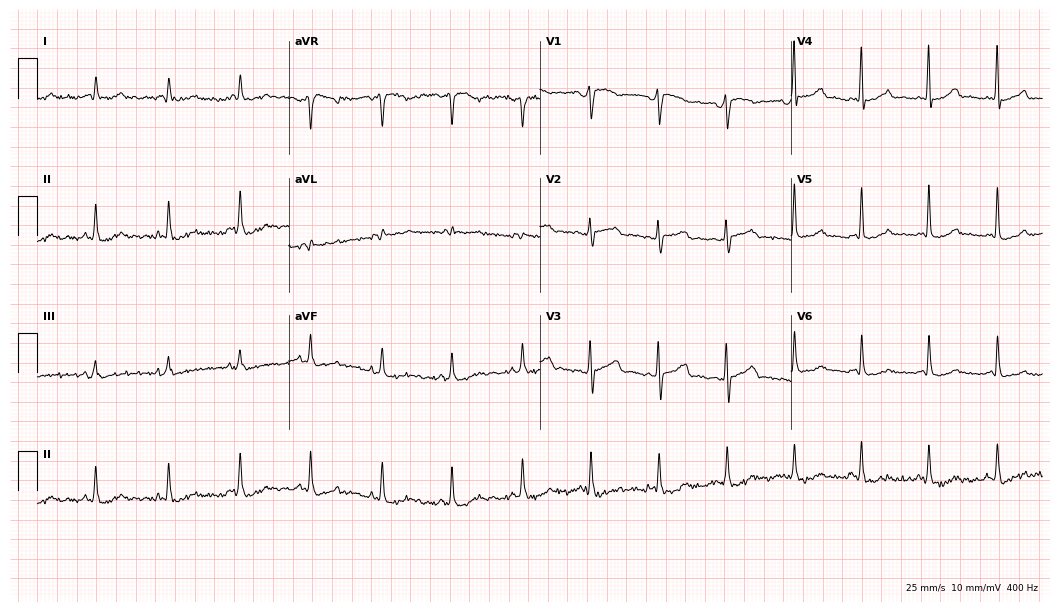
ECG — a male patient, 53 years old. Screened for six findings — first-degree AV block, right bundle branch block (RBBB), left bundle branch block (LBBB), sinus bradycardia, atrial fibrillation (AF), sinus tachycardia — none is recorded.